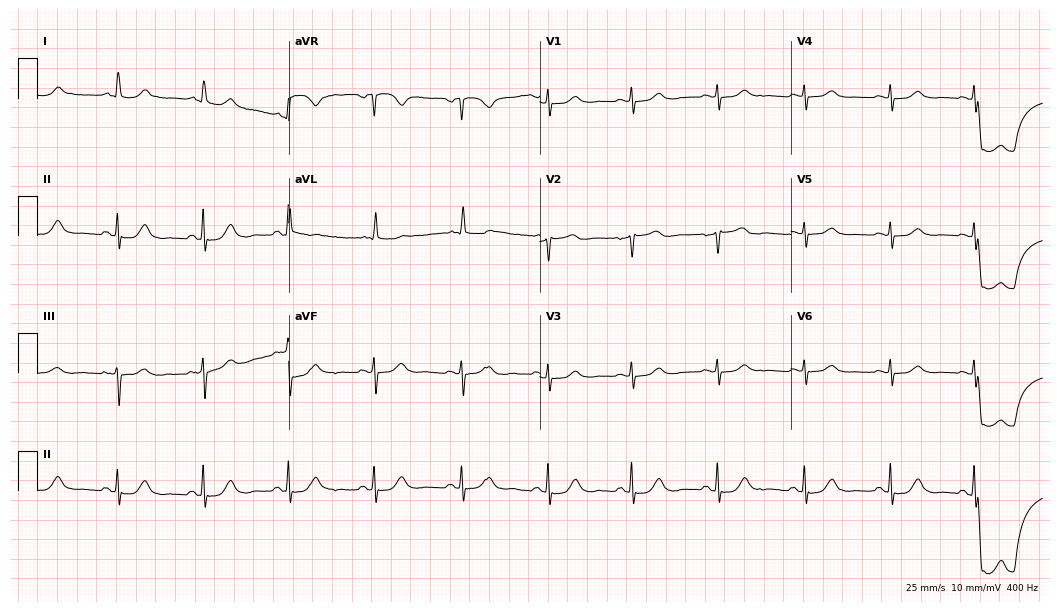
Standard 12-lead ECG recorded from a 65-year-old female patient (10.2-second recording at 400 Hz). None of these six findings is recorded: first-degree AV block, right bundle branch block (RBBB), left bundle branch block (LBBB), sinus bradycardia, atrial fibrillation (AF), sinus tachycardia.